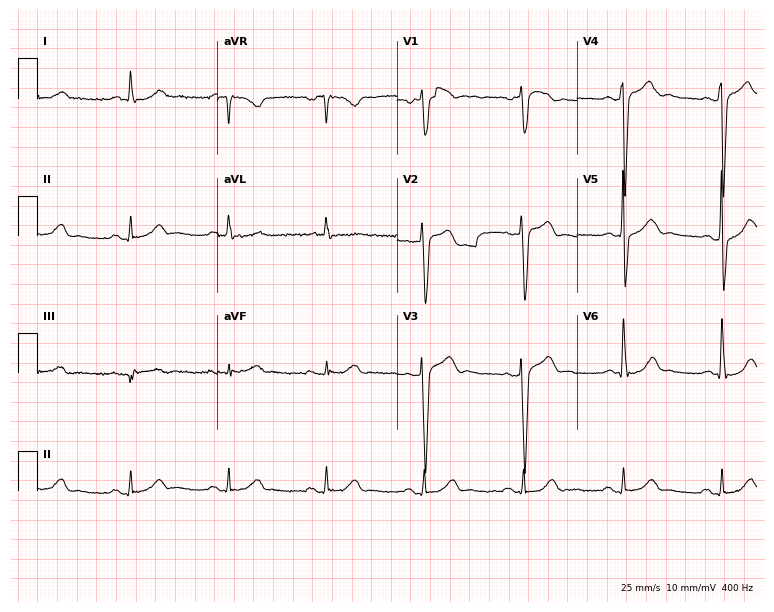
Standard 12-lead ECG recorded from a man, 59 years old (7.3-second recording at 400 Hz). Read as a normal ECG.